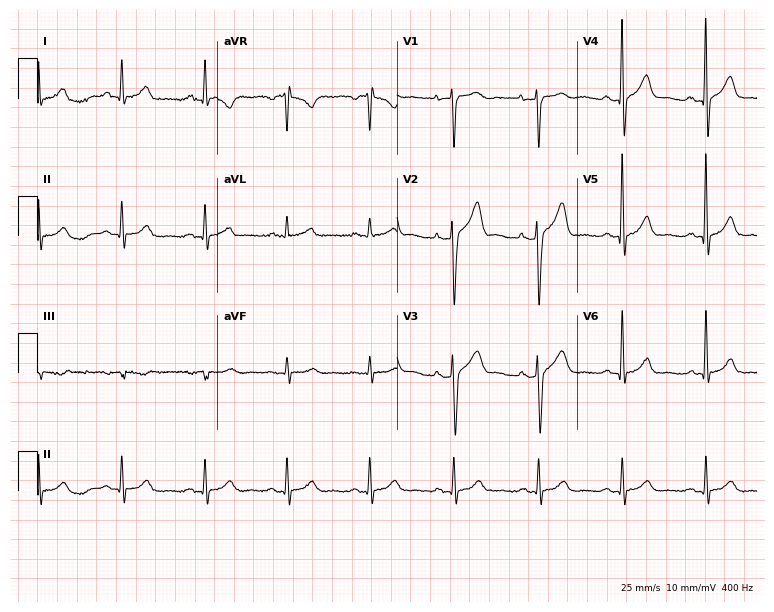
12-lead ECG from a male, 53 years old. Recorded interpretation: within normal limits.